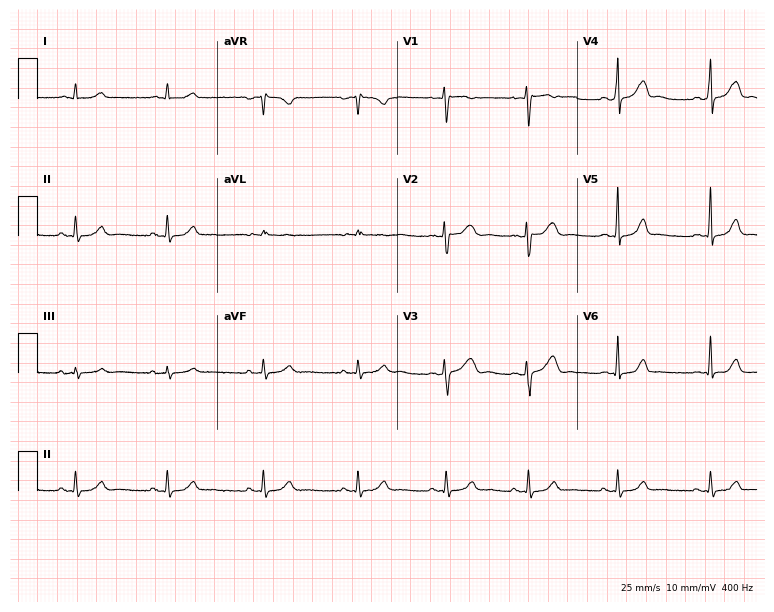
12-lead ECG (7.3-second recording at 400 Hz) from a 32-year-old female. Screened for six findings — first-degree AV block, right bundle branch block, left bundle branch block, sinus bradycardia, atrial fibrillation, sinus tachycardia — none is recorded. Only these six findings were labelled.